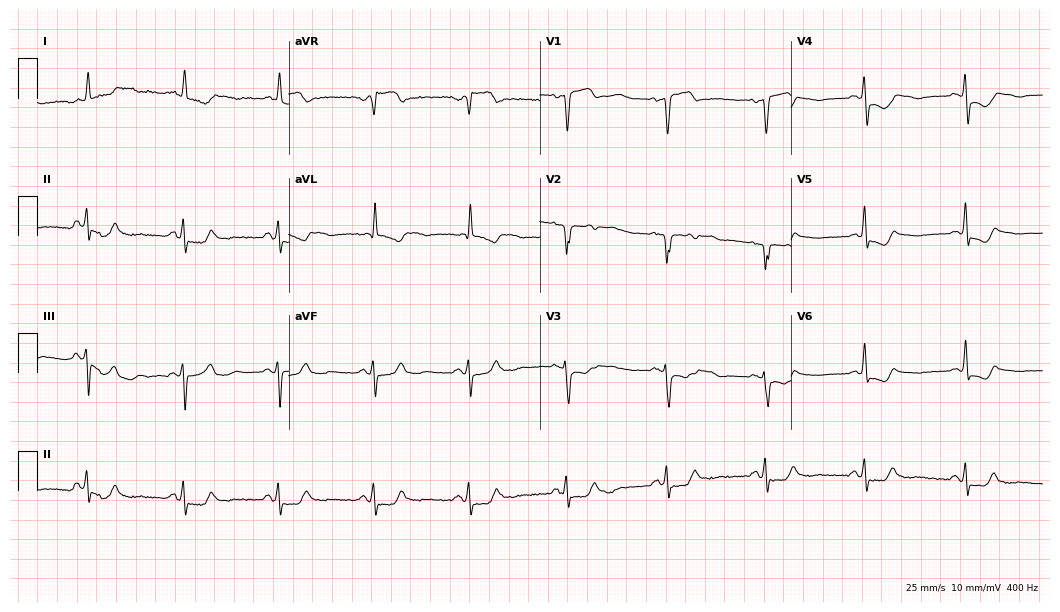
Resting 12-lead electrocardiogram (10.2-second recording at 400 Hz). Patient: a 50-year-old man. None of these six findings is recorded: first-degree AV block, right bundle branch block (RBBB), left bundle branch block (LBBB), sinus bradycardia, atrial fibrillation (AF), sinus tachycardia.